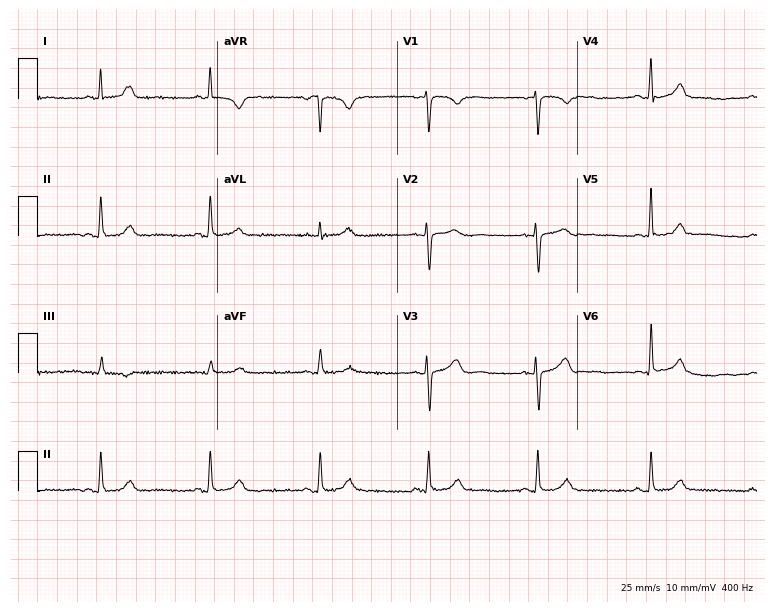
12-lead ECG from a 35-year-old female patient (7.3-second recording at 400 Hz). Recorded interpretation: within normal limits.